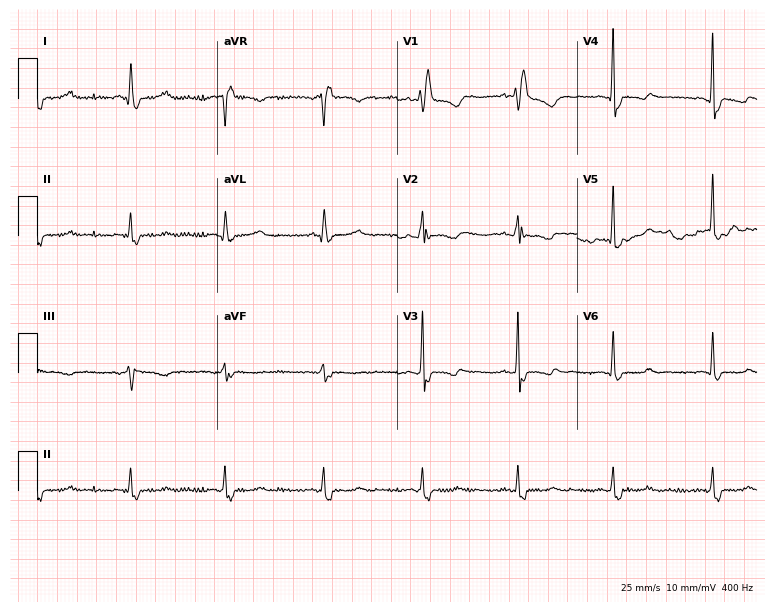
Standard 12-lead ECG recorded from a 50-year-old female patient. The tracing shows right bundle branch block.